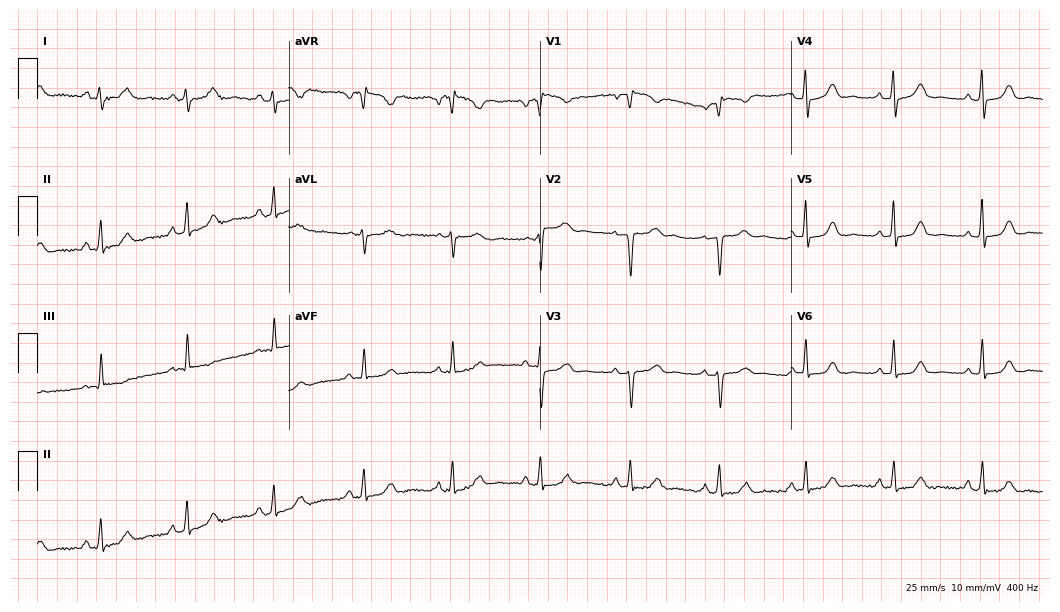
Electrocardiogram, a female, 47 years old. Overall reading on record: normal ECG.